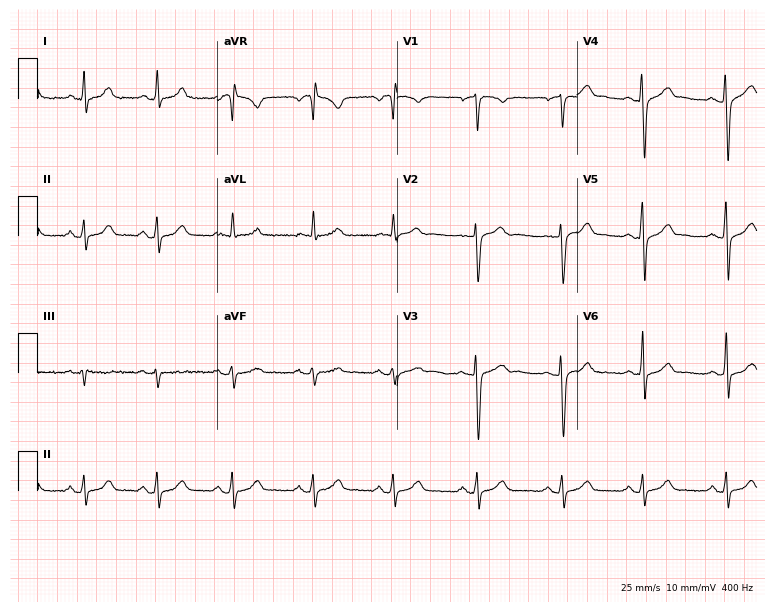
12-lead ECG from a male patient, 32 years old. Screened for six findings — first-degree AV block, right bundle branch block, left bundle branch block, sinus bradycardia, atrial fibrillation, sinus tachycardia — none is recorded.